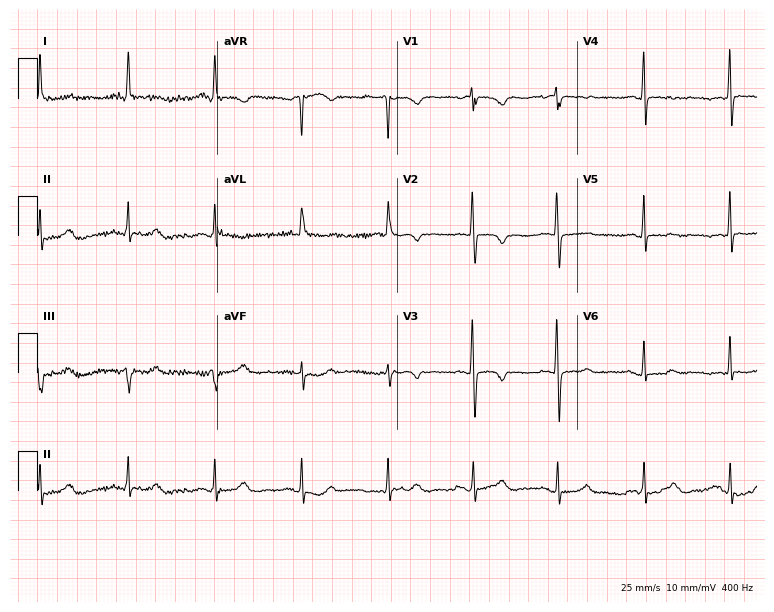
Standard 12-lead ECG recorded from a 66-year-old woman (7.3-second recording at 400 Hz). None of these six findings is recorded: first-degree AV block, right bundle branch block, left bundle branch block, sinus bradycardia, atrial fibrillation, sinus tachycardia.